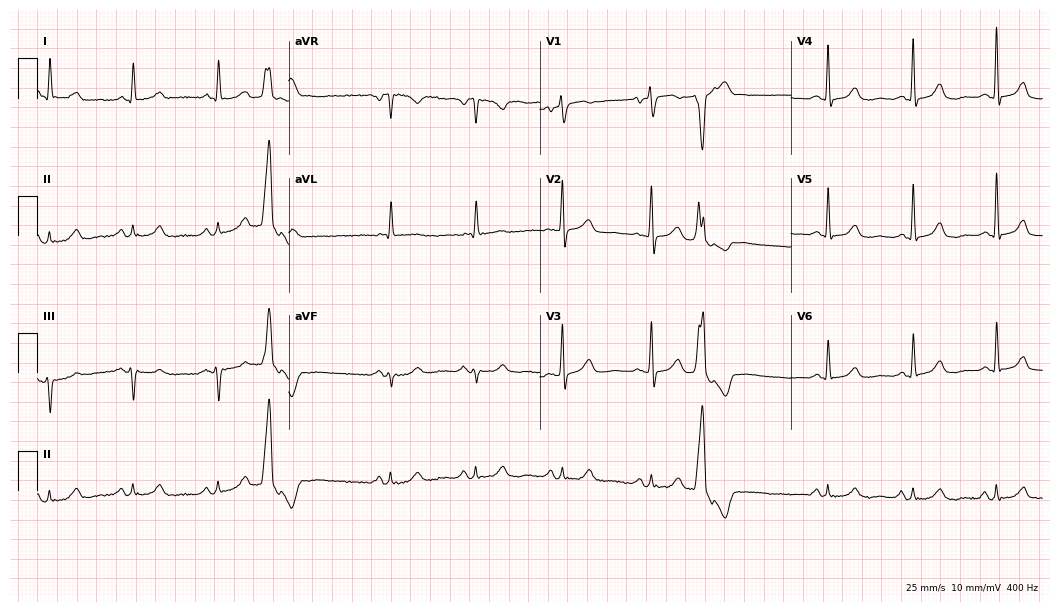
12-lead ECG from a 71-year-old female. No first-degree AV block, right bundle branch block, left bundle branch block, sinus bradycardia, atrial fibrillation or sinus tachycardia recorded for this tracing.